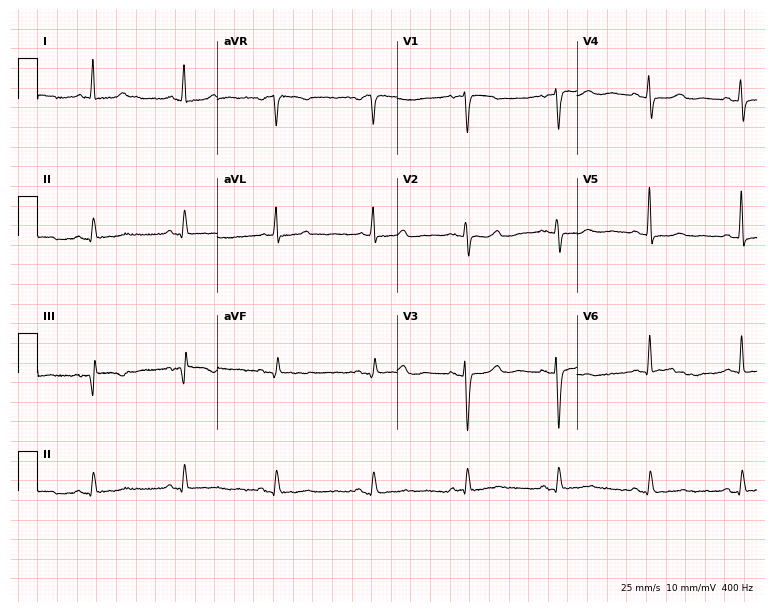
Electrocardiogram, a 71-year-old female. Of the six screened findings (first-degree AV block, right bundle branch block (RBBB), left bundle branch block (LBBB), sinus bradycardia, atrial fibrillation (AF), sinus tachycardia), none is recorded. Only these six findings were labelled.